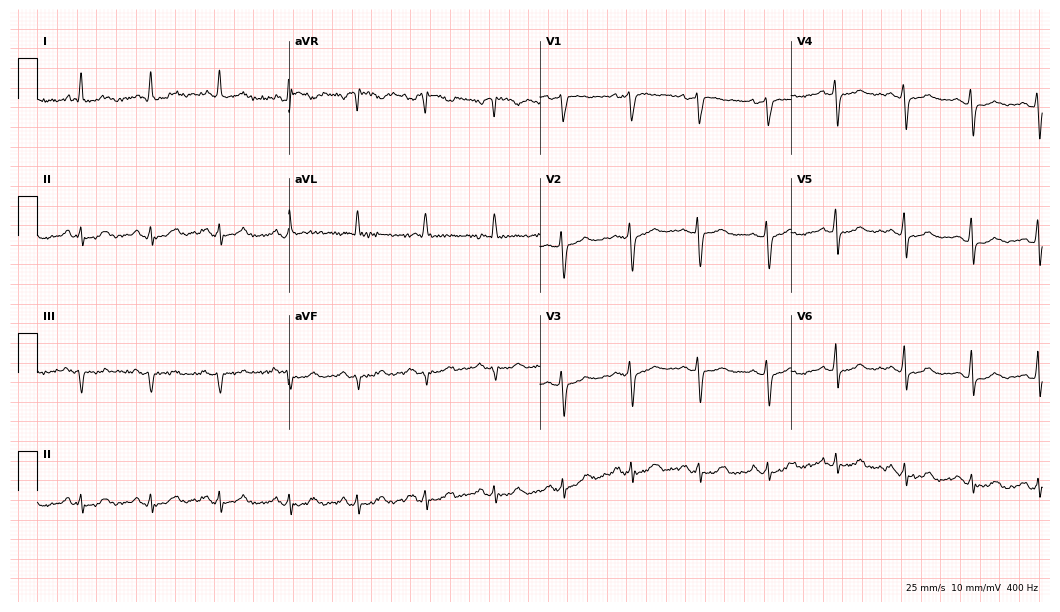
ECG — a 76-year-old woman. Labelled as a normal ECG.